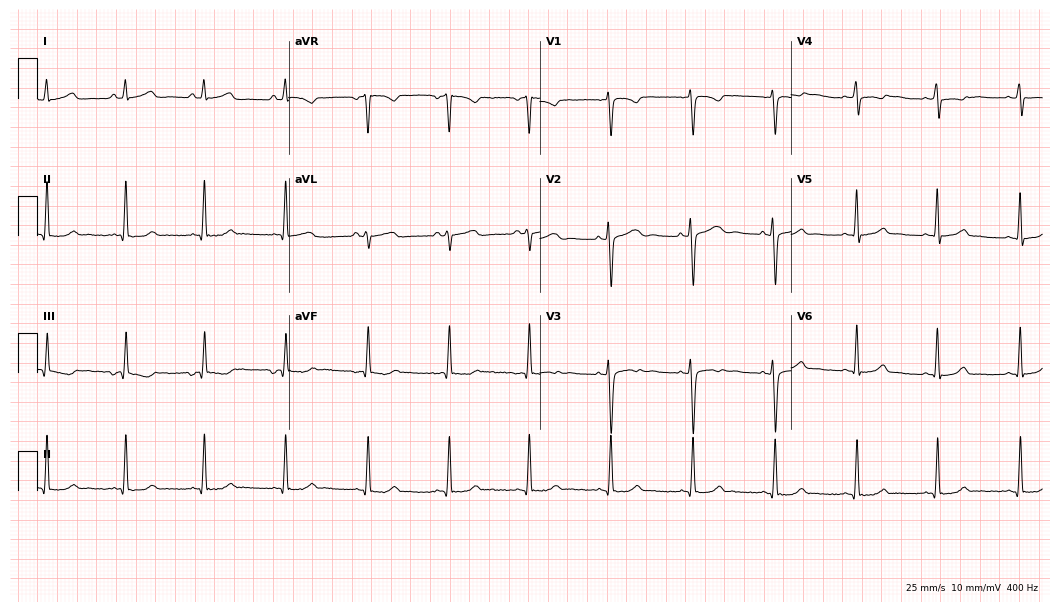
Standard 12-lead ECG recorded from a female patient, 23 years old (10.2-second recording at 400 Hz). None of these six findings is recorded: first-degree AV block, right bundle branch block, left bundle branch block, sinus bradycardia, atrial fibrillation, sinus tachycardia. Other findings, if any, are not listed.